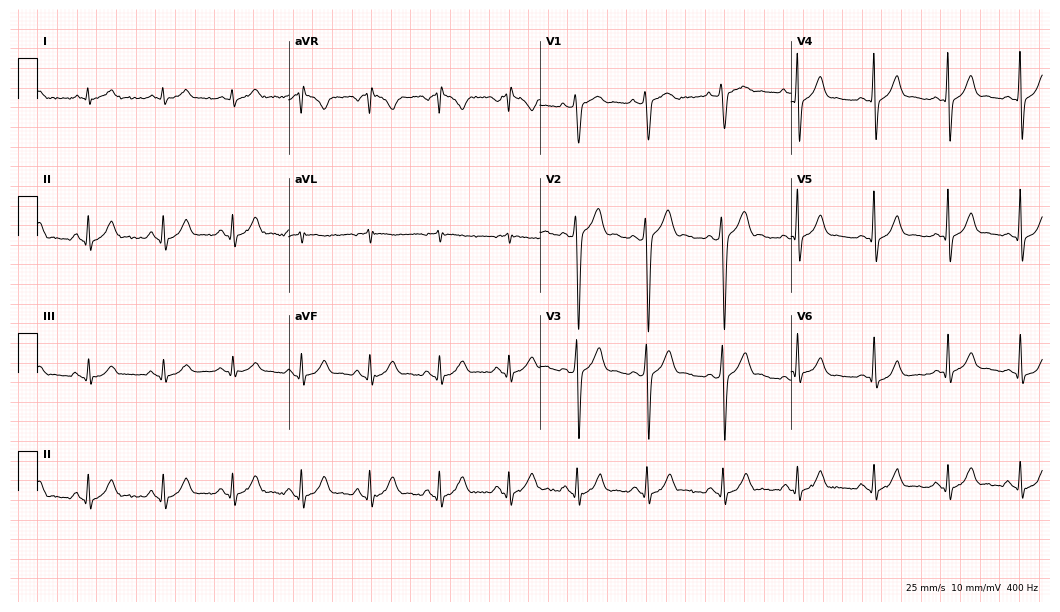
Electrocardiogram (10.2-second recording at 400 Hz), a 28-year-old male. Overall reading on record: normal ECG.